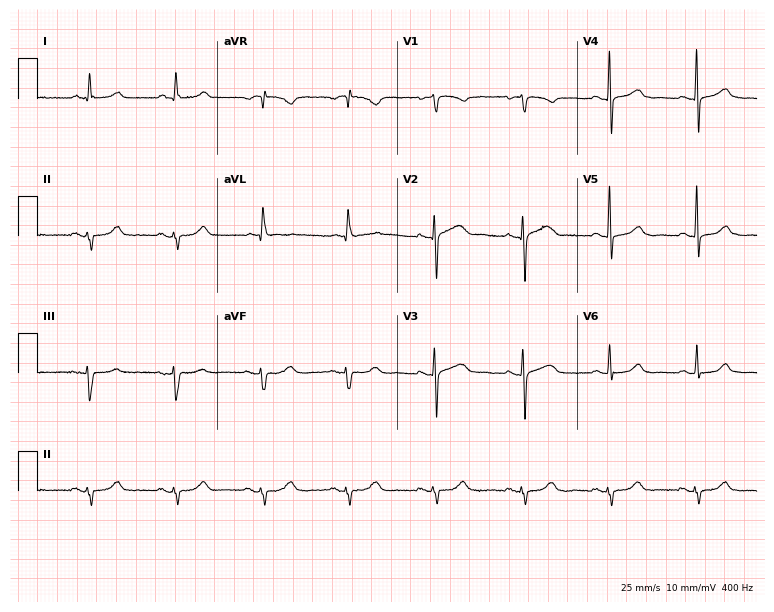
ECG — a woman, 58 years old. Screened for six findings — first-degree AV block, right bundle branch block (RBBB), left bundle branch block (LBBB), sinus bradycardia, atrial fibrillation (AF), sinus tachycardia — none is recorded. Findings outside these six are not listed.